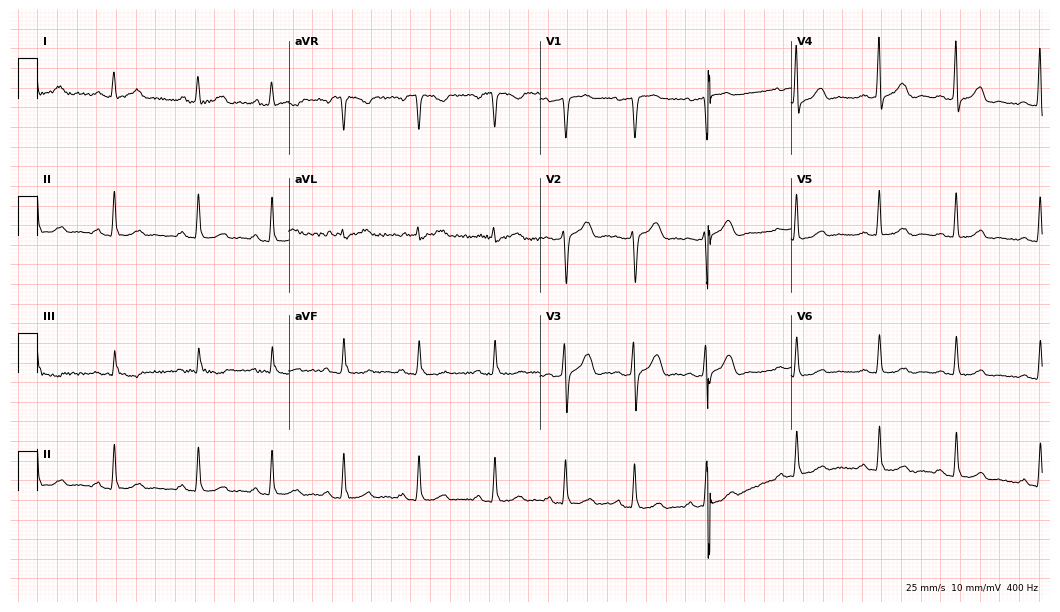
Electrocardiogram, a female patient, 32 years old. Overall reading on record: normal ECG.